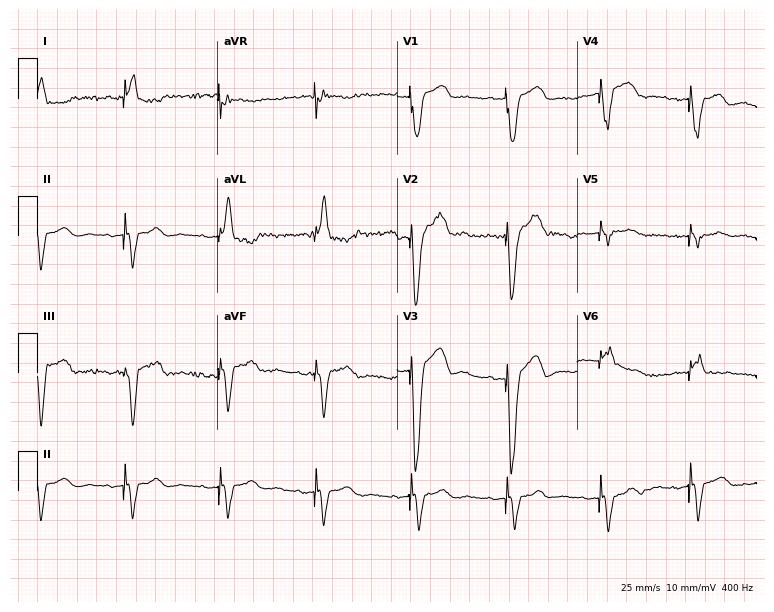
Standard 12-lead ECG recorded from an 84-year-old woman (7.3-second recording at 400 Hz). None of these six findings is recorded: first-degree AV block, right bundle branch block, left bundle branch block, sinus bradycardia, atrial fibrillation, sinus tachycardia.